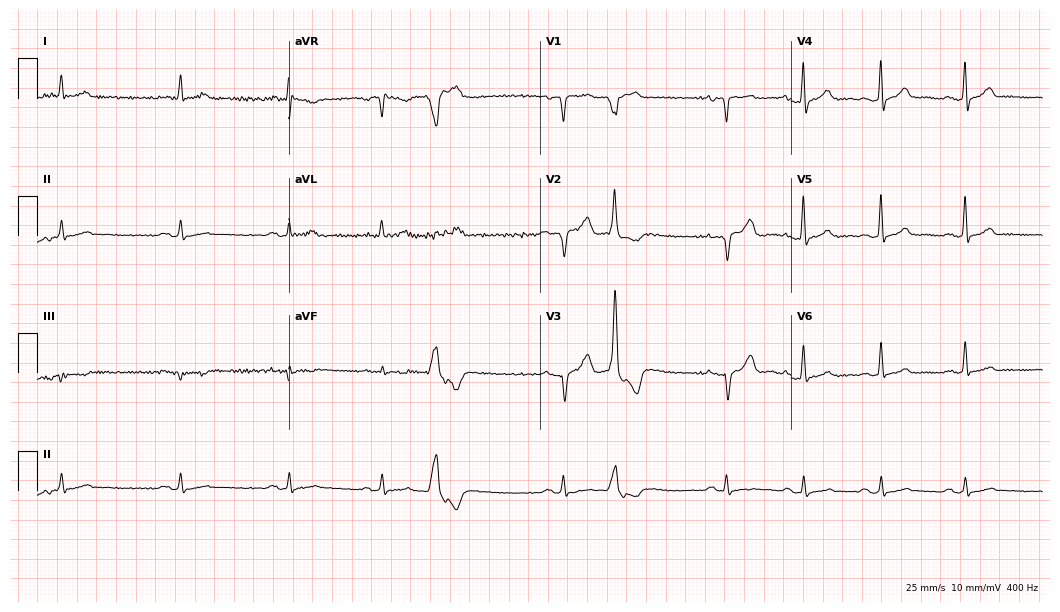
Standard 12-lead ECG recorded from a man, 73 years old. None of these six findings is recorded: first-degree AV block, right bundle branch block, left bundle branch block, sinus bradycardia, atrial fibrillation, sinus tachycardia. Only these six findings were labelled.